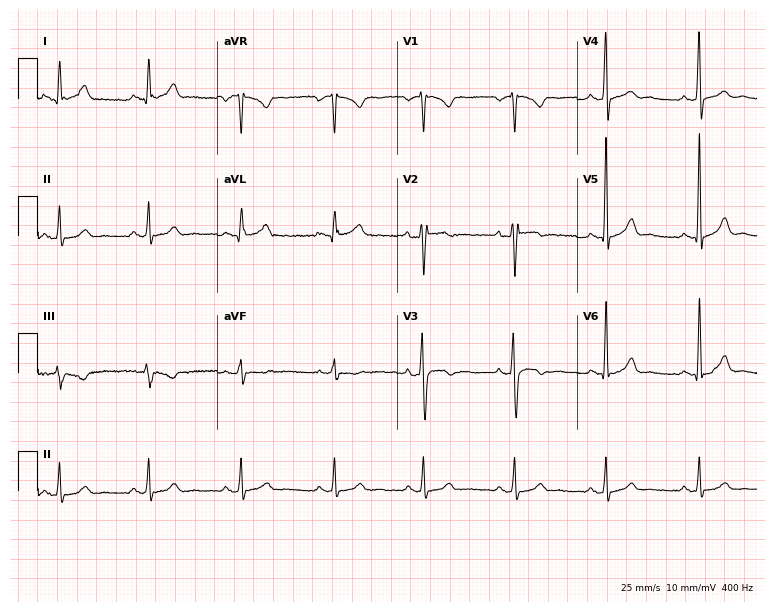
12-lead ECG from a male, 43 years old. Recorded interpretation: within normal limits.